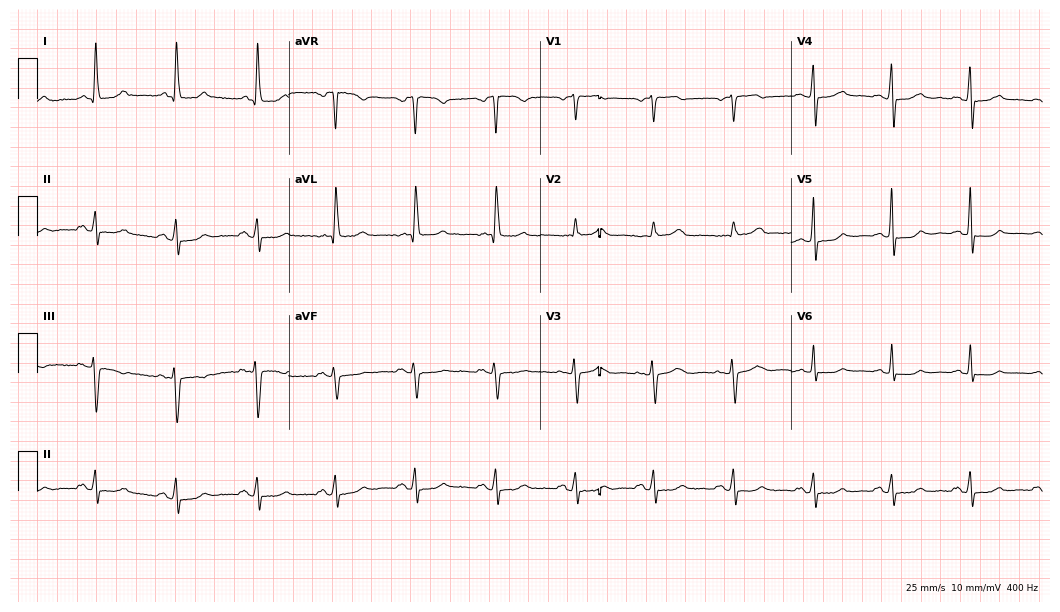
Electrocardiogram, a woman, 76 years old. Overall reading on record: normal ECG.